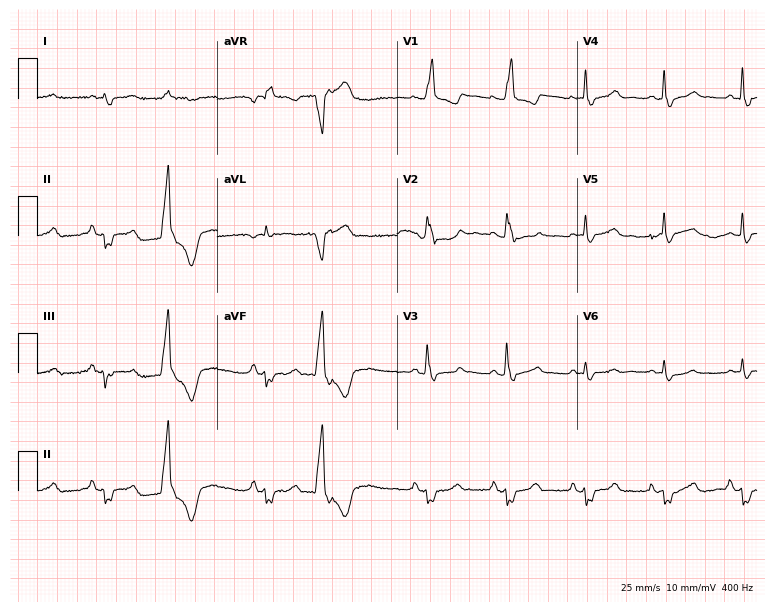
Resting 12-lead electrocardiogram. Patient: a male, 83 years old. The tracing shows right bundle branch block.